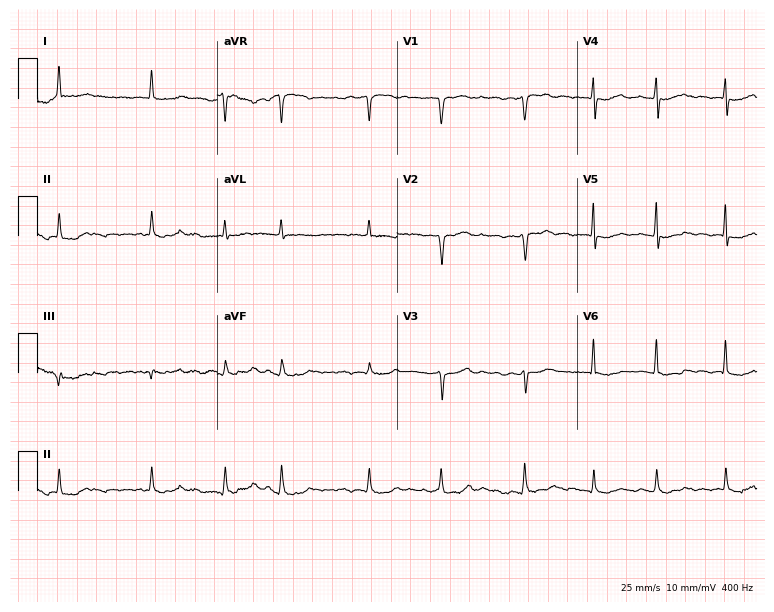
Standard 12-lead ECG recorded from a 73-year-old woman. None of these six findings is recorded: first-degree AV block, right bundle branch block (RBBB), left bundle branch block (LBBB), sinus bradycardia, atrial fibrillation (AF), sinus tachycardia. Other findings, if any, are not listed.